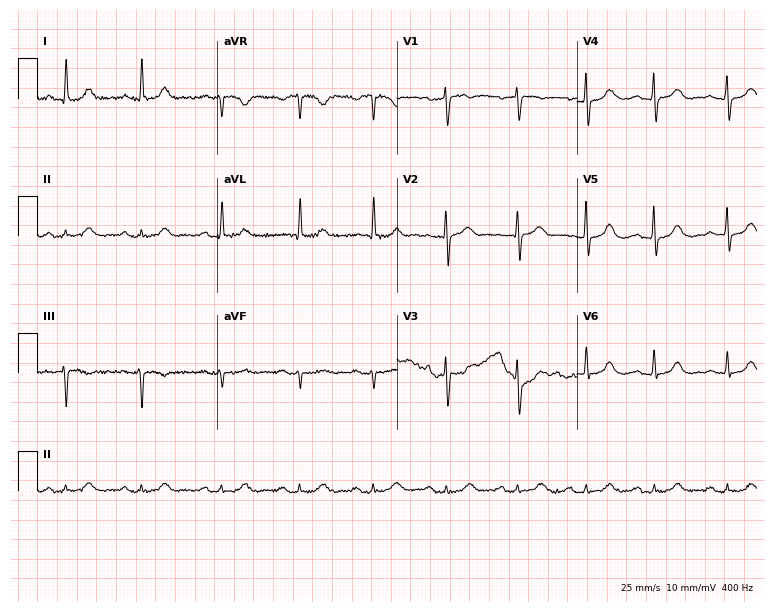
Electrocardiogram (7.3-second recording at 400 Hz), a male patient, 60 years old. Overall reading on record: normal ECG.